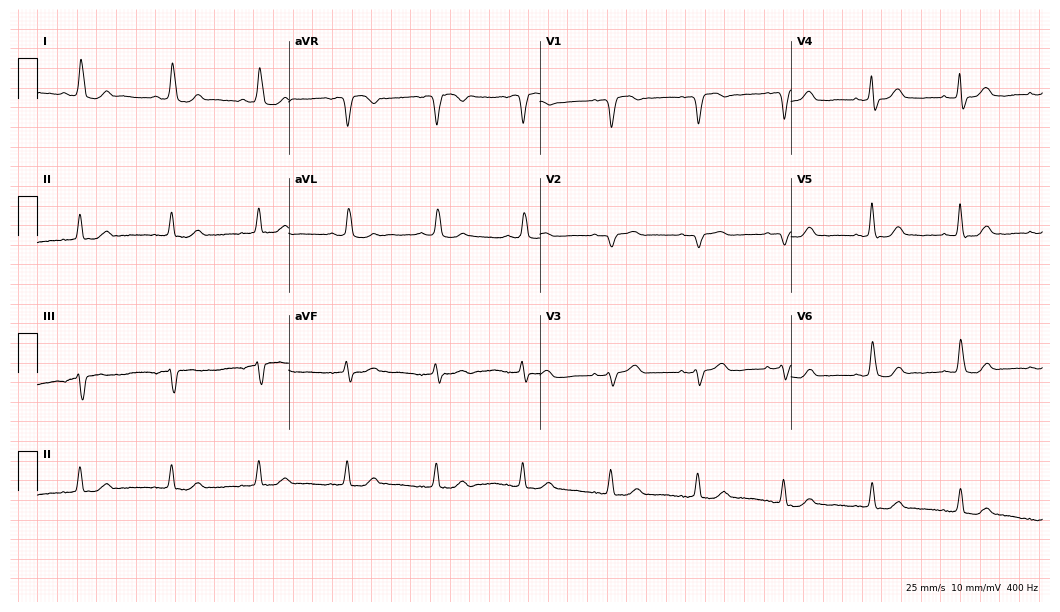
Standard 12-lead ECG recorded from a male patient, 62 years old. None of these six findings is recorded: first-degree AV block, right bundle branch block (RBBB), left bundle branch block (LBBB), sinus bradycardia, atrial fibrillation (AF), sinus tachycardia. Findings outside these six are not listed.